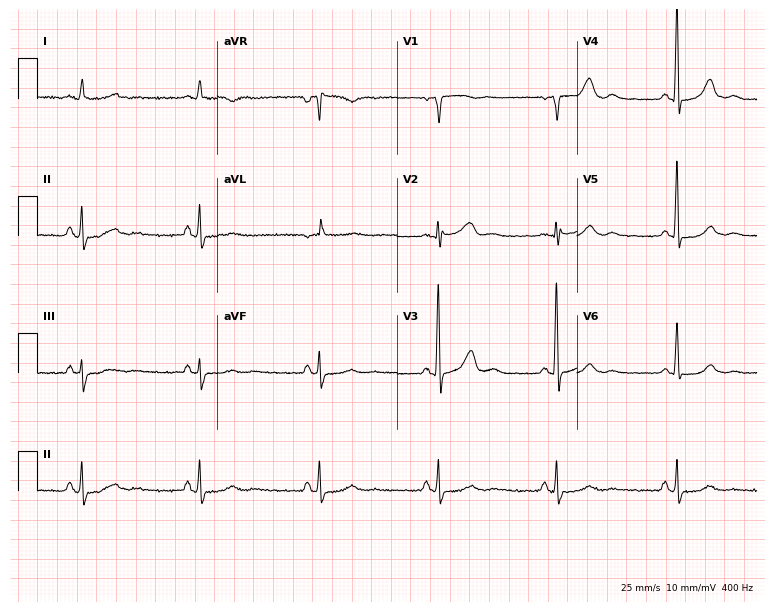
Resting 12-lead electrocardiogram. Patient: a man, 56 years old. The tracing shows sinus bradycardia (a sinus rate of 50 beats per minute or less).